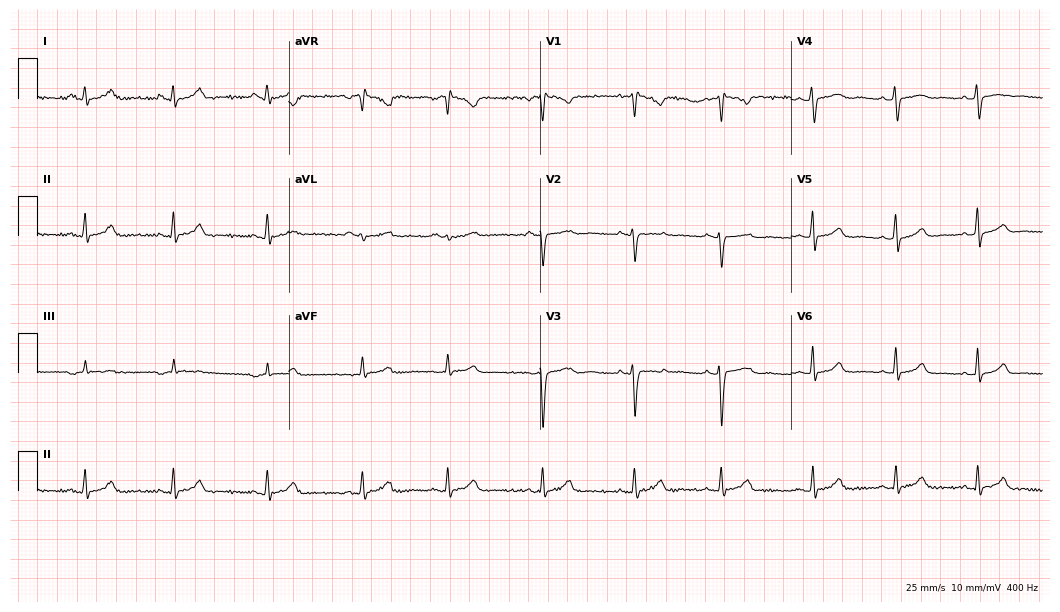
ECG (10.2-second recording at 400 Hz) — a 33-year-old female patient. Screened for six findings — first-degree AV block, right bundle branch block (RBBB), left bundle branch block (LBBB), sinus bradycardia, atrial fibrillation (AF), sinus tachycardia — none is recorded.